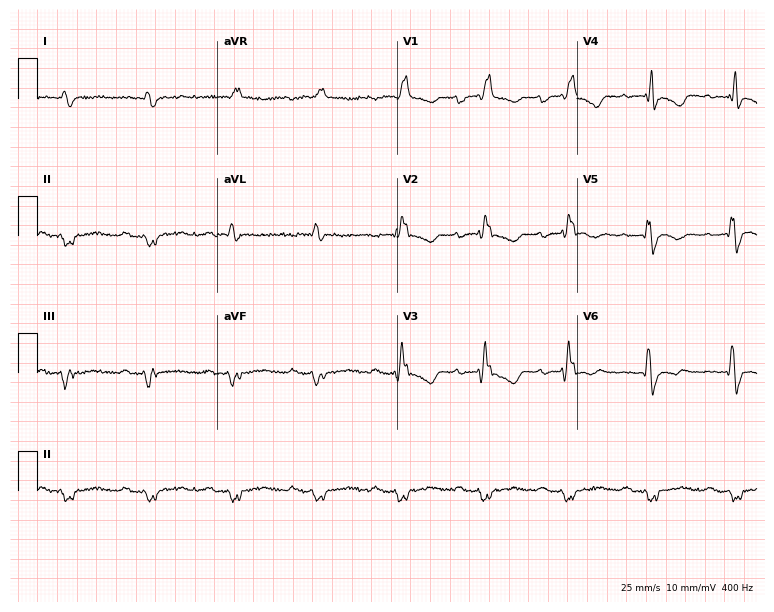
Resting 12-lead electrocardiogram (7.3-second recording at 400 Hz). Patient: a 48-year-old male. The tracing shows first-degree AV block, right bundle branch block (RBBB).